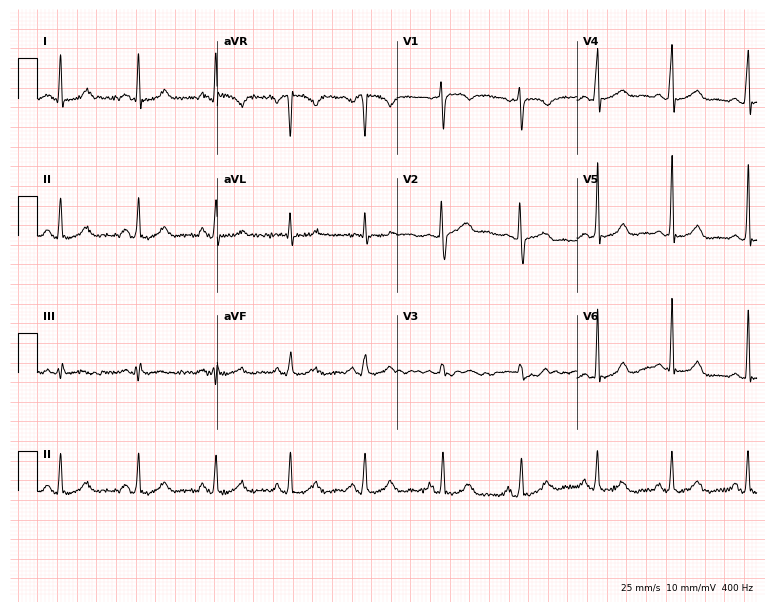
Resting 12-lead electrocardiogram. Patient: a woman, 45 years old. Read as a normal ECG.